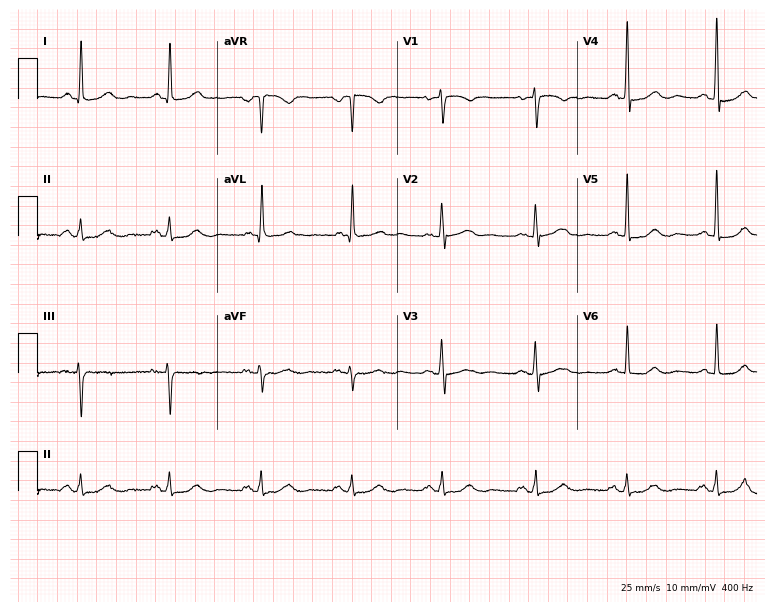
12-lead ECG (7.3-second recording at 400 Hz) from a female patient, 58 years old. Screened for six findings — first-degree AV block, right bundle branch block, left bundle branch block, sinus bradycardia, atrial fibrillation, sinus tachycardia — none is recorded.